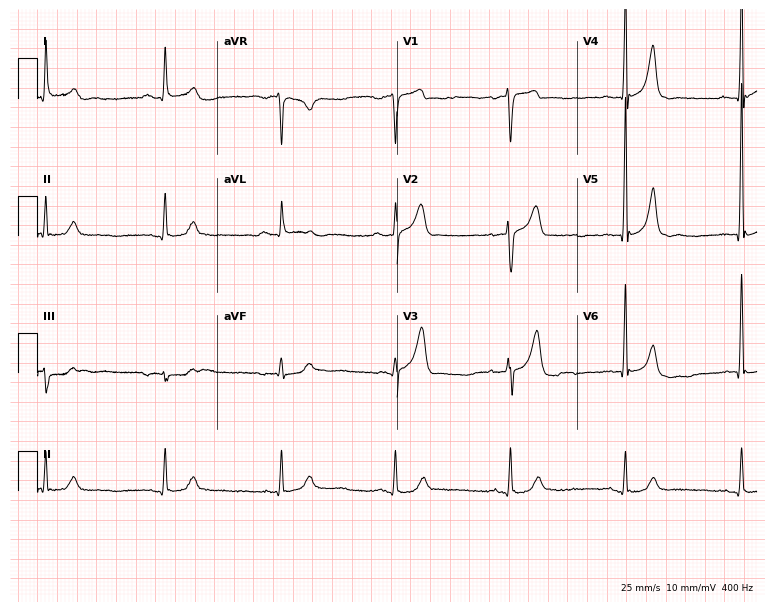
12-lead ECG from a man, 66 years old (7.3-second recording at 400 Hz). No first-degree AV block, right bundle branch block, left bundle branch block, sinus bradycardia, atrial fibrillation or sinus tachycardia recorded for this tracing. Findings outside these six are not listed.